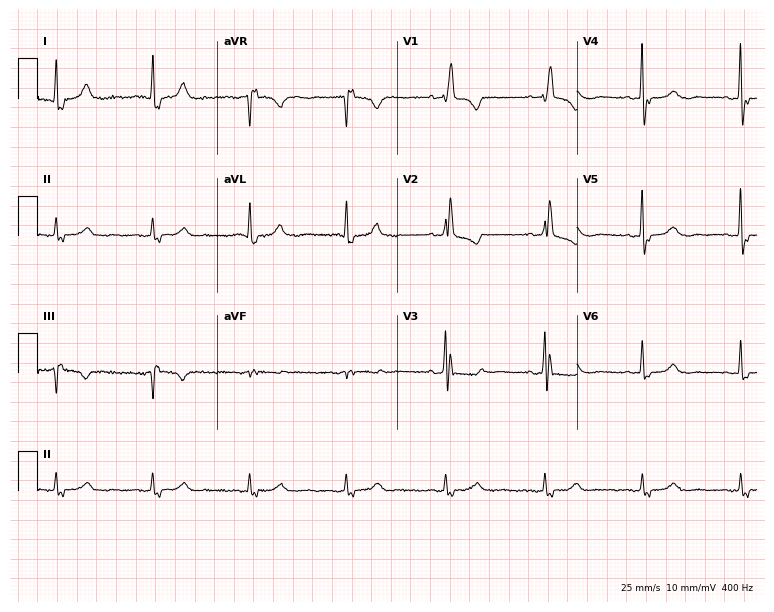
ECG (7.3-second recording at 400 Hz) — a female patient, 78 years old. Findings include right bundle branch block.